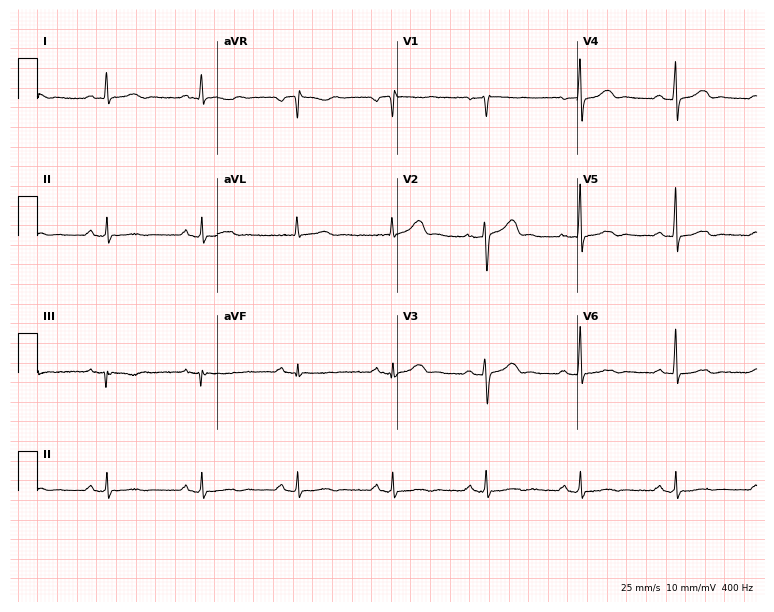
Electrocardiogram (7.3-second recording at 400 Hz), a 56-year-old female patient. Of the six screened findings (first-degree AV block, right bundle branch block, left bundle branch block, sinus bradycardia, atrial fibrillation, sinus tachycardia), none is recorded.